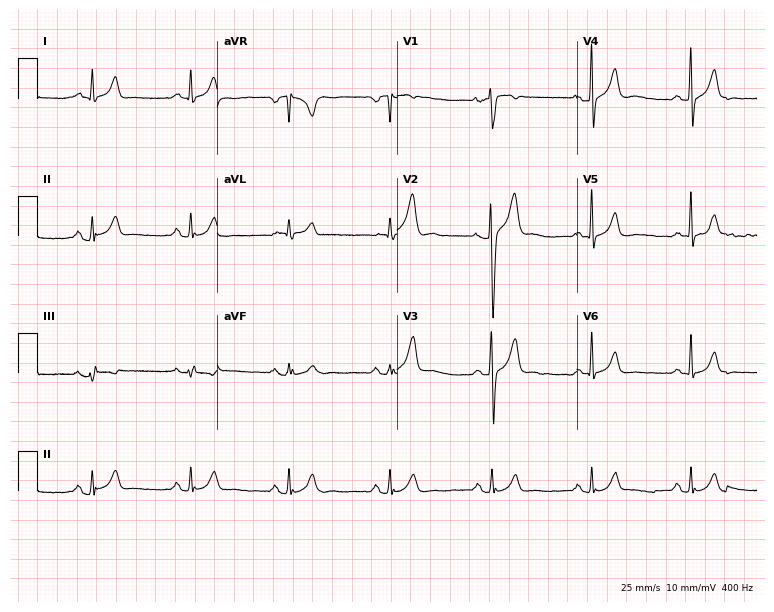
12-lead ECG (7.3-second recording at 400 Hz) from a male patient, 34 years old. Labelled as a normal ECG.